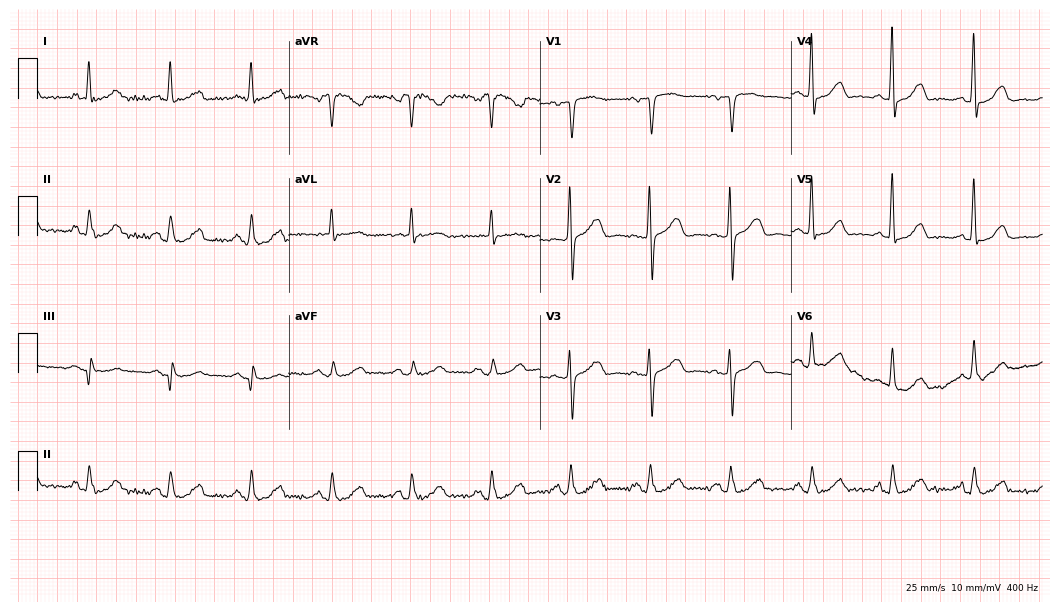
12-lead ECG from a woman, 77 years old. No first-degree AV block, right bundle branch block, left bundle branch block, sinus bradycardia, atrial fibrillation or sinus tachycardia recorded for this tracing. Other findings, if any, are not listed.